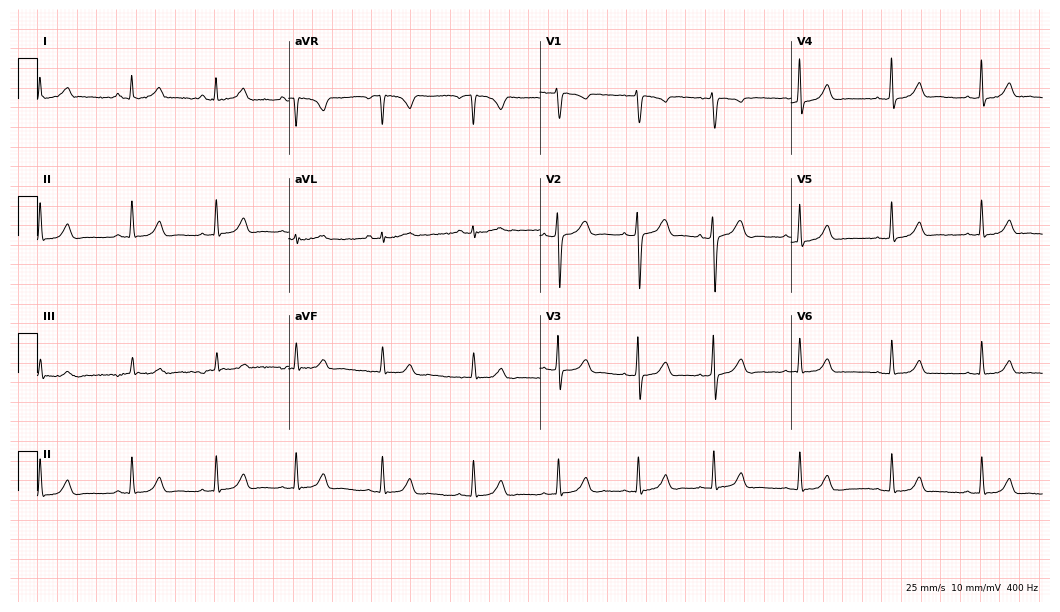
12-lead ECG from a female, 23 years old. Recorded interpretation: within normal limits.